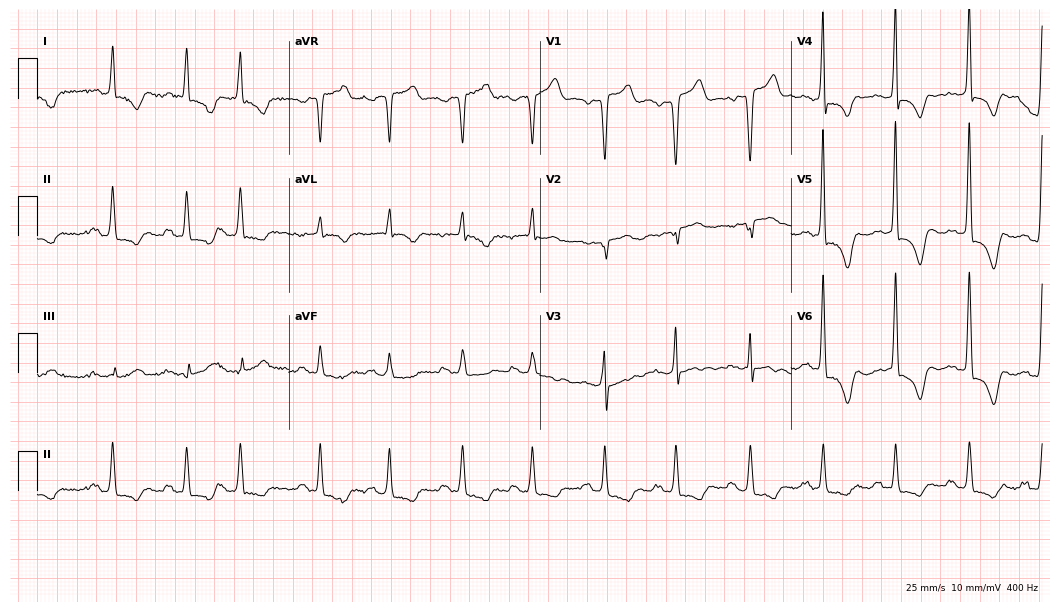
12-lead ECG from a male, 67 years old. Screened for six findings — first-degree AV block, right bundle branch block (RBBB), left bundle branch block (LBBB), sinus bradycardia, atrial fibrillation (AF), sinus tachycardia — none is recorded. Findings outside these six are not listed.